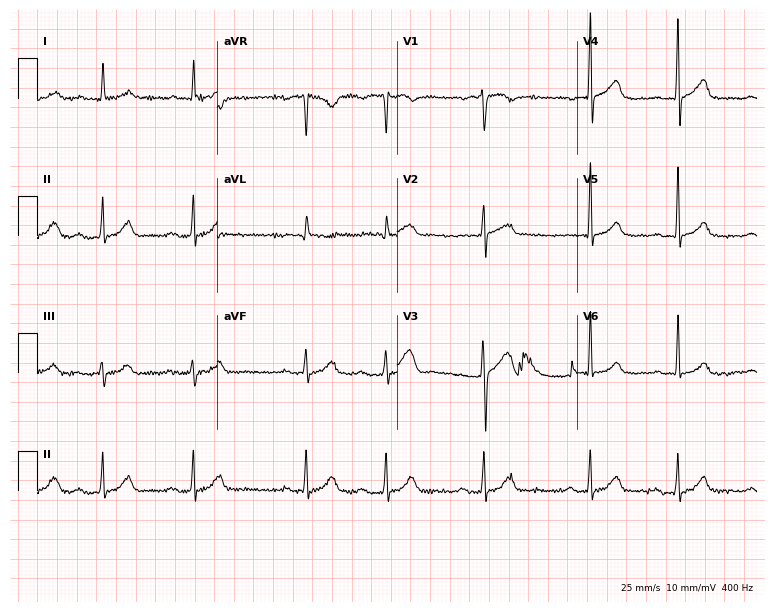
ECG (7.3-second recording at 400 Hz) — an 85-year-old man. Screened for six findings — first-degree AV block, right bundle branch block (RBBB), left bundle branch block (LBBB), sinus bradycardia, atrial fibrillation (AF), sinus tachycardia — none is recorded.